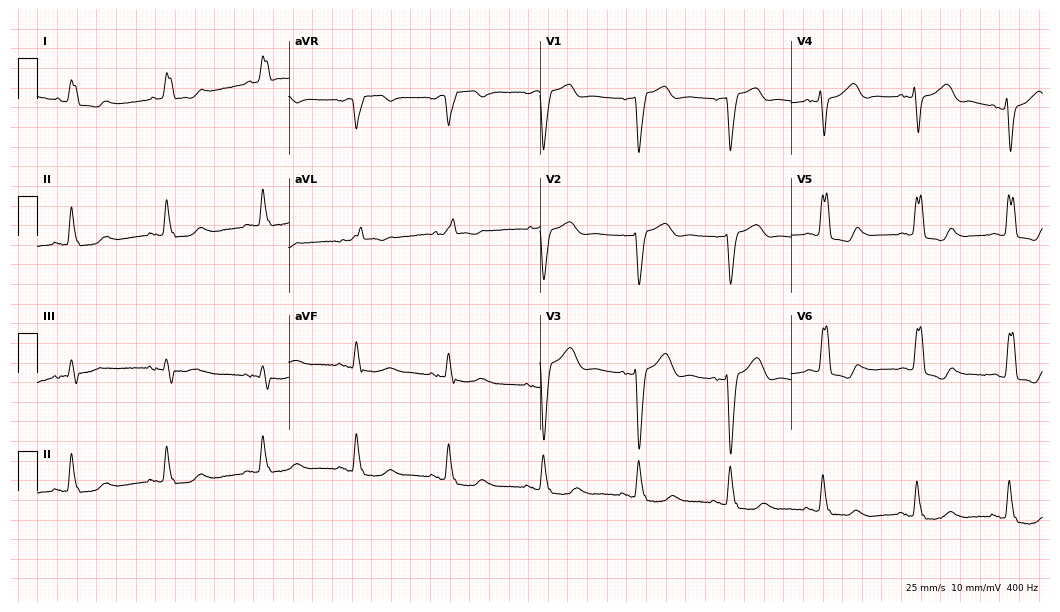
Resting 12-lead electrocardiogram. Patient: a woman, 68 years old. The tracing shows left bundle branch block.